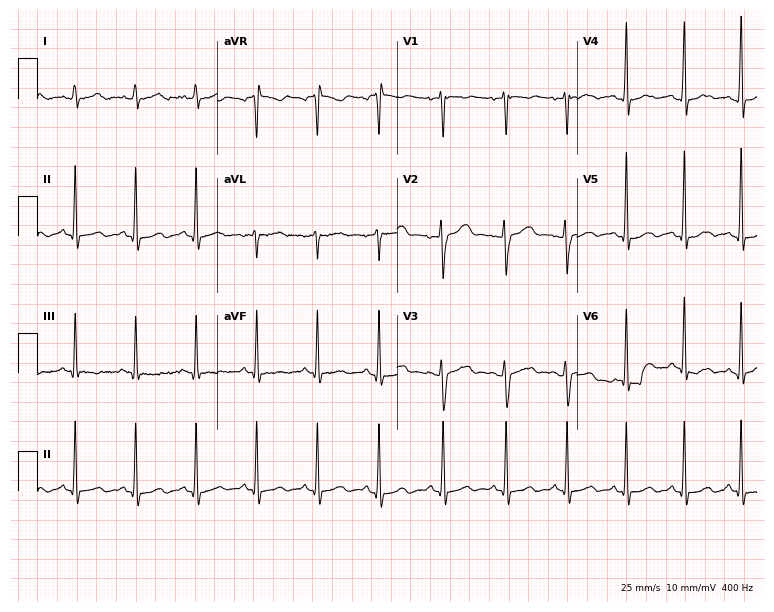
ECG — a female, 19 years old. Screened for six findings — first-degree AV block, right bundle branch block (RBBB), left bundle branch block (LBBB), sinus bradycardia, atrial fibrillation (AF), sinus tachycardia — none is recorded. Other findings, if any, are not listed.